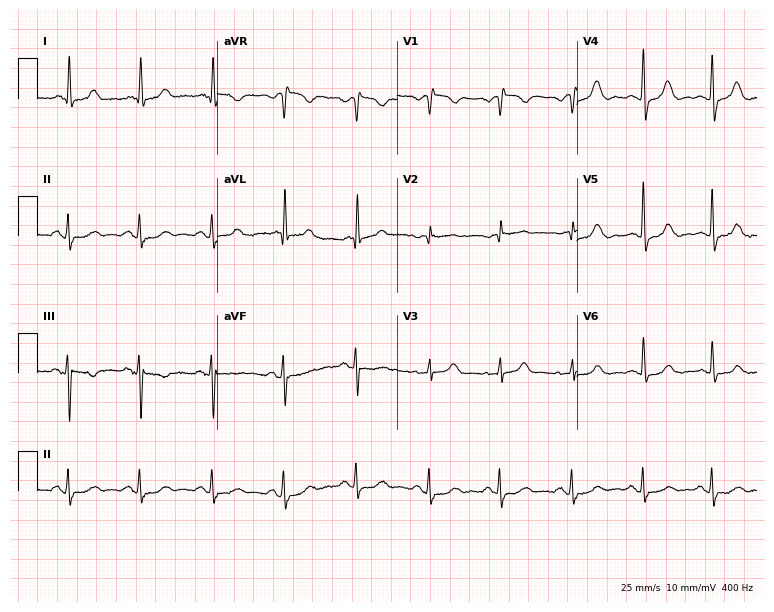
12-lead ECG from an 84-year-old female (7.3-second recording at 400 Hz). No first-degree AV block, right bundle branch block (RBBB), left bundle branch block (LBBB), sinus bradycardia, atrial fibrillation (AF) or sinus tachycardia recorded for this tracing. Findings outside these six are not listed.